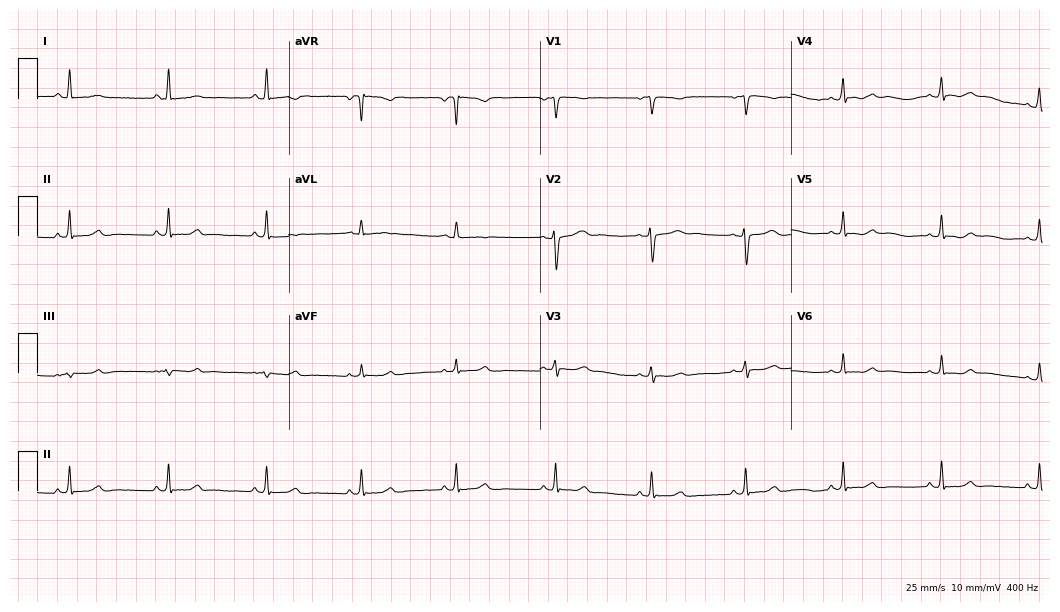
Resting 12-lead electrocardiogram. Patient: a 23-year-old female. Read as a normal ECG.